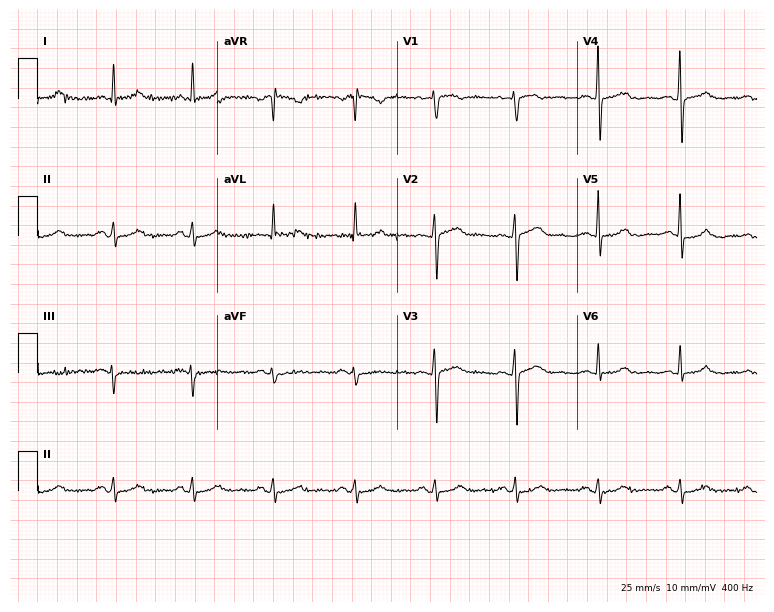
12-lead ECG (7.3-second recording at 400 Hz) from a female, 62 years old. Labelled as a normal ECG.